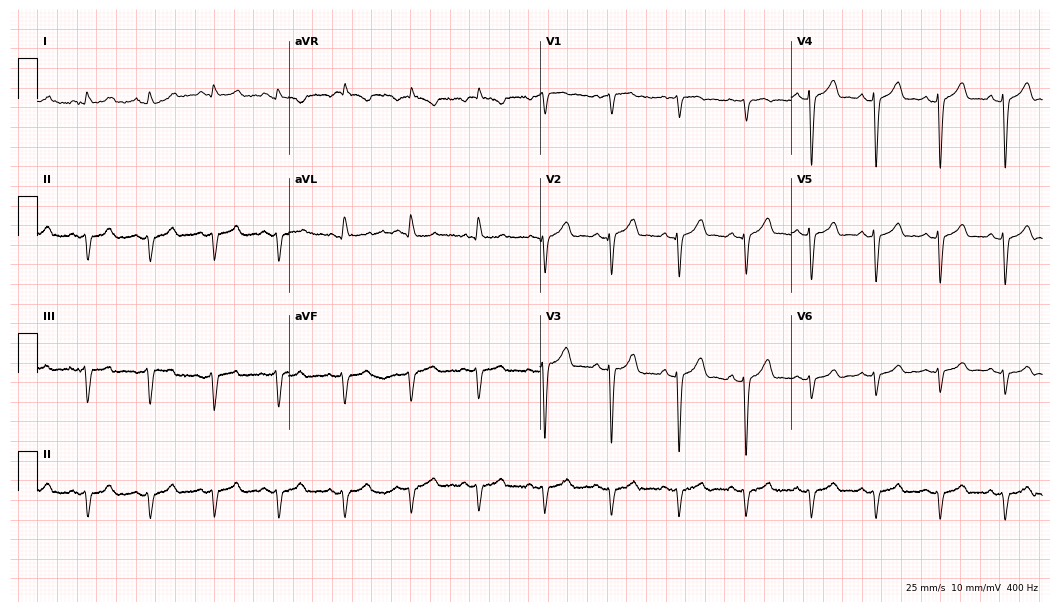
ECG (10.2-second recording at 400 Hz) — an 87-year-old male. Screened for six findings — first-degree AV block, right bundle branch block, left bundle branch block, sinus bradycardia, atrial fibrillation, sinus tachycardia — none is recorded.